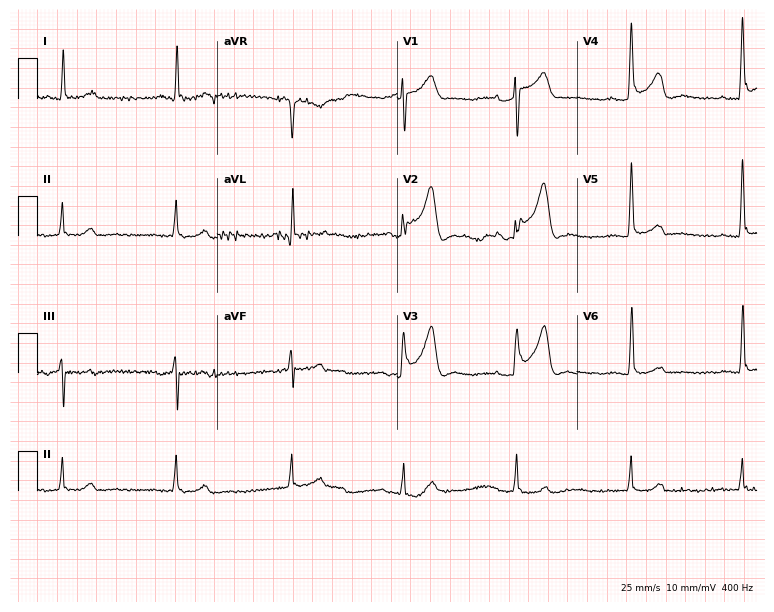
Electrocardiogram (7.3-second recording at 400 Hz), a man, 73 years old. Overall reading on record: normal ECG.